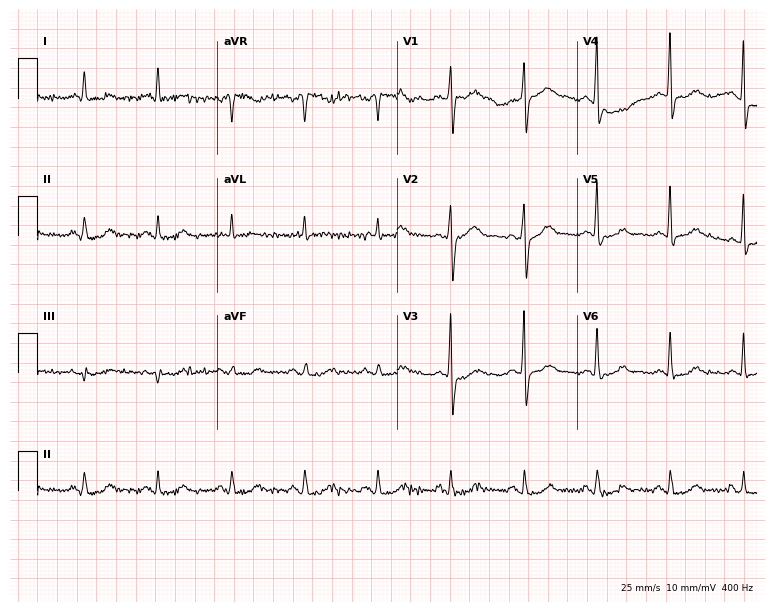
Resting 12-lead electrocardiogram. Patient: a 77-year-old male. None of these six findings is recorded: first-degree AV block, right bundle branch block, left bundle branch block, sinus bradycardia, atrial fibrillation, sinus tachycardia.